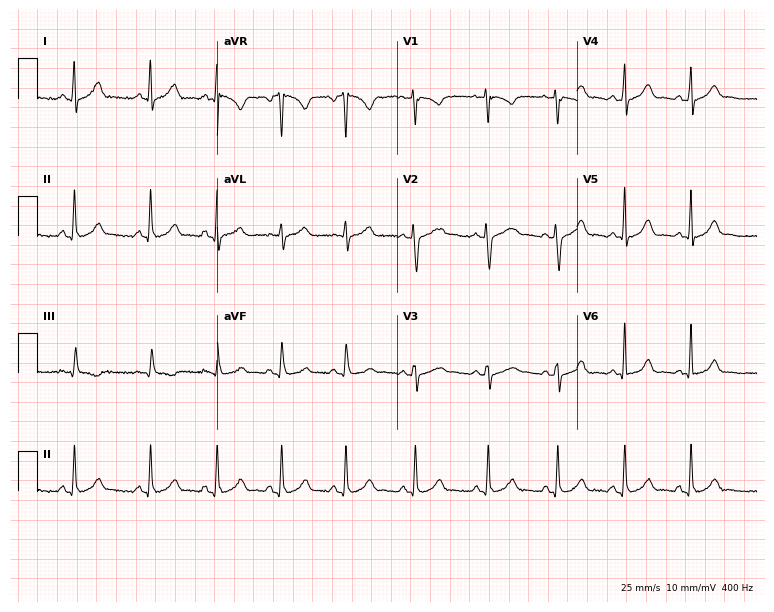
ECG — a woman, 22 years old. Labelled as a normal ECG.